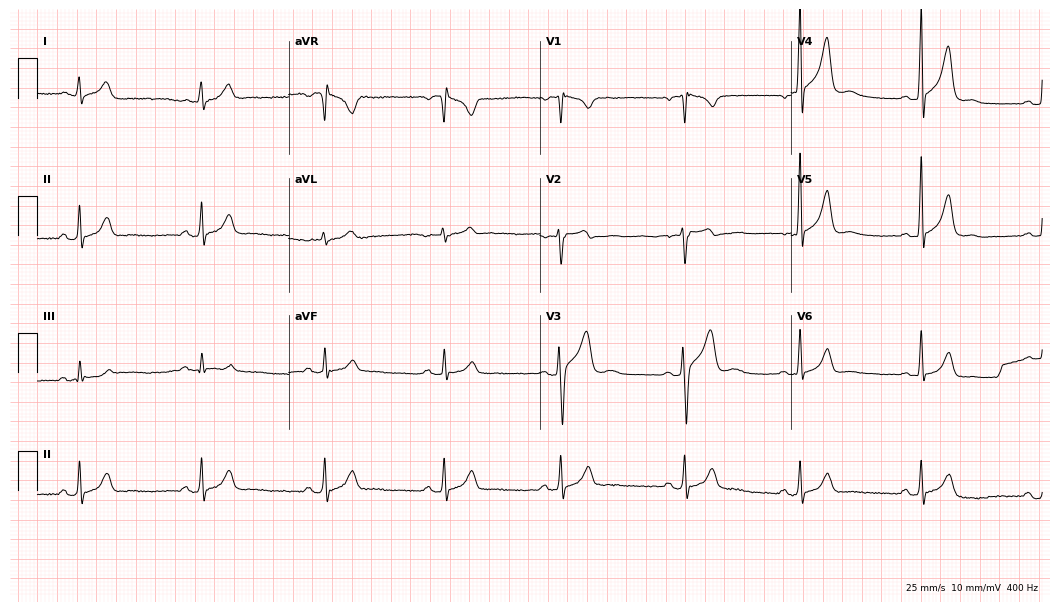
12-lead ECG from a 42-year-old man. No first-degree AV block, right bundle branch block, left bundle branch block, sinus bradycardia, atrial fibrillation or sinus tachycardia recorded for this tracing.